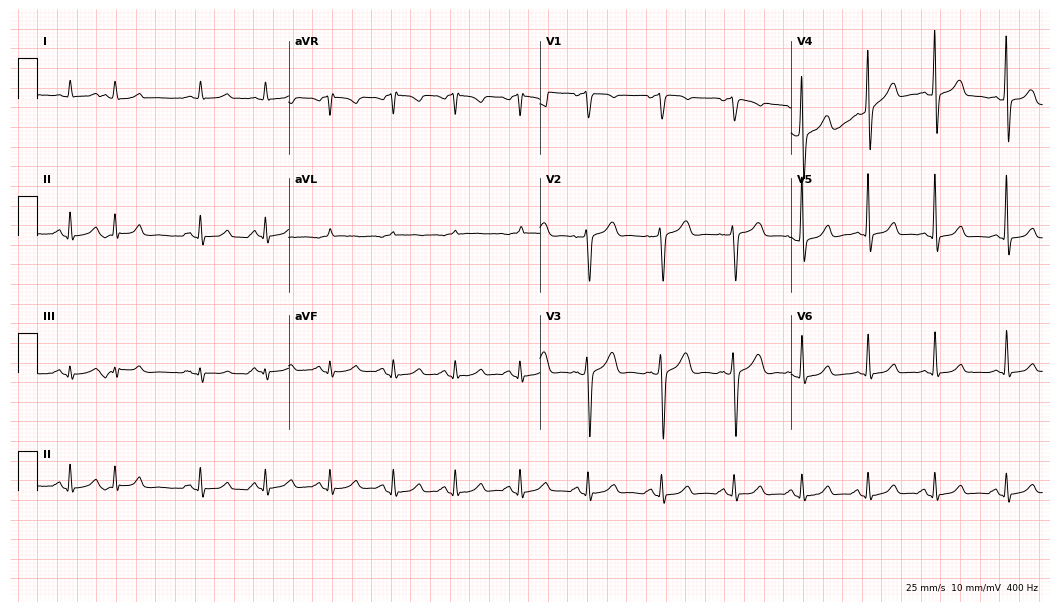
Standard 12-lead ECG recorded from a 68-year-old woman (10.2-second recording at 400 Hz). None of these six findings is recorded: first-degree AV block, right bundle branch block, left bundle branch block, sinus bradycardia, atrial fibrillation, sinus tachycardia.